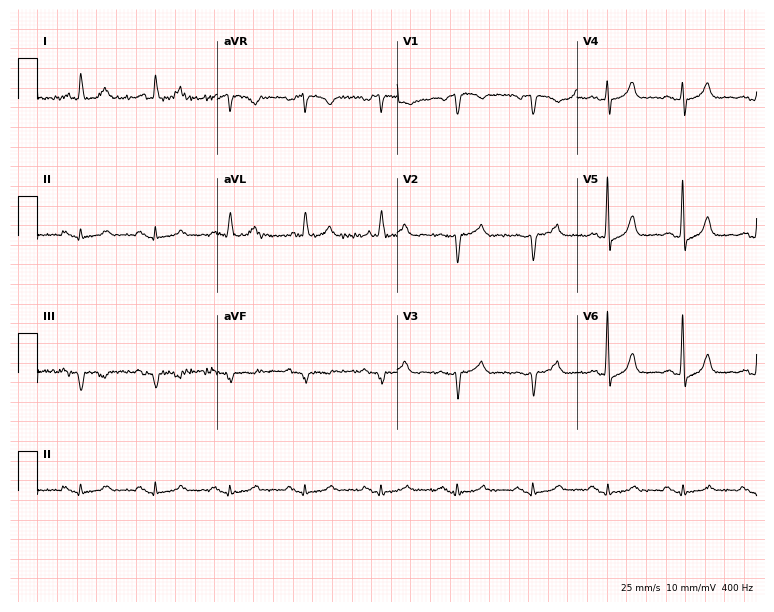
12-lead ECG from a man, 79 years old. Screened for six findings — first-degree AV block, right bundle branch block, left bundle branch block, sinus bradycardia, atrial fibrillation, sinus tachycardia — none is recorded.